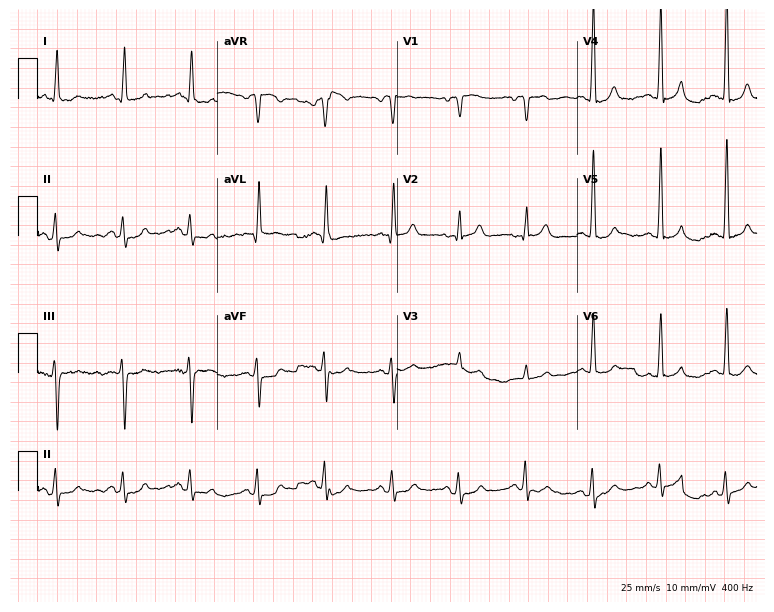
Resting 12-lead electrocardiogram. Patient: a male, 83 years old. None of these six findings is recorded: first-degree AV block, right bundle branch block, left bundle branch block, sinus bradycardia, atrial fibrillation, sinus tachycardia. Other findings, if any, are not listed.